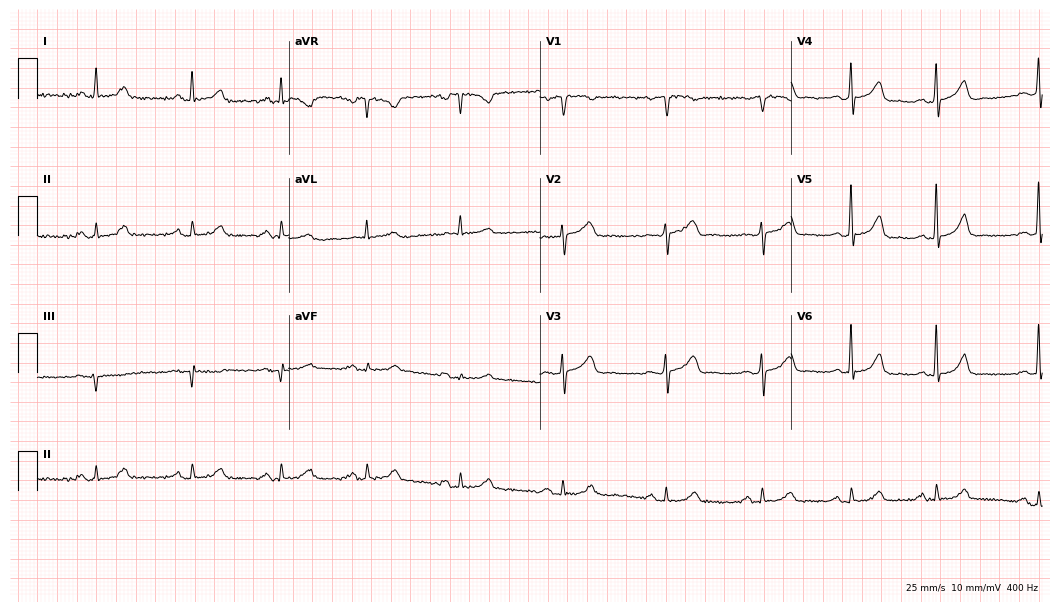
Electrocardiogram (10.2-second recording at 400 Hz), a 50-year-old female patient. Overall reading on record: normal ECG.